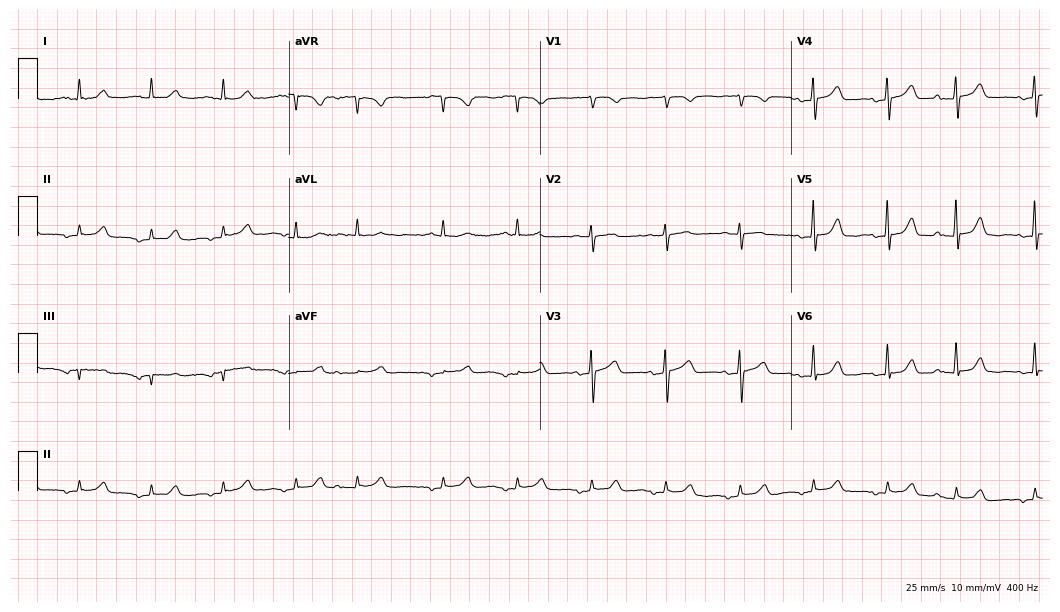
Electrocardiogram (10.2-second recording at 400 Hz), a female patient, 83 years old. Of the six screened findings (first-degree AV block, right bundle branch block (RBBB), left bundle branch block (LBBB), sinus bradycardia, atrial fibrillation (AF), sinus tachycardia), none is recorded. Other findings, if any, are not listed.